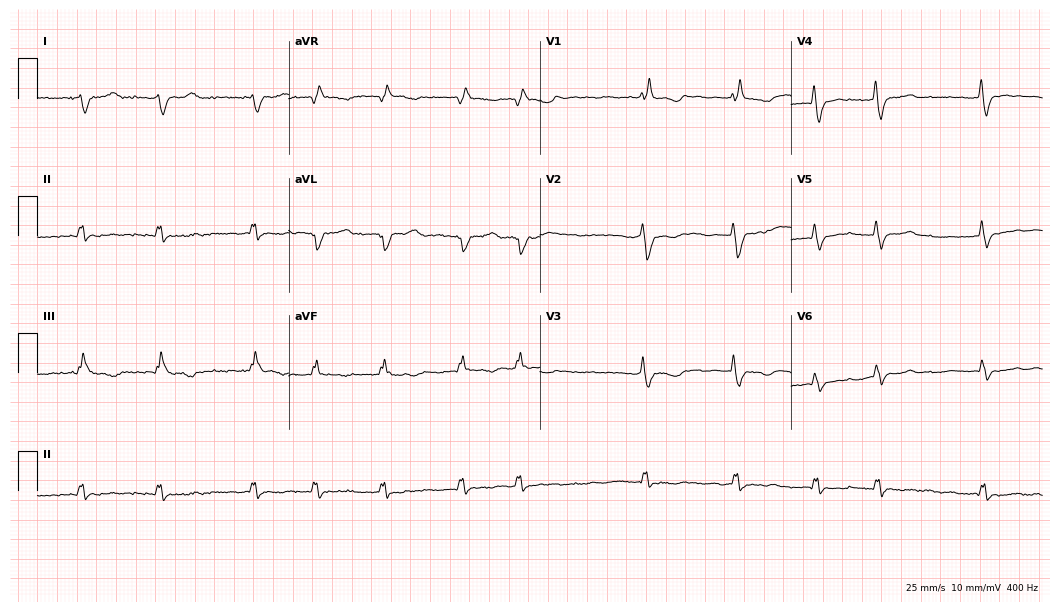
12-lead ECG from a 67-year-old woman. Screened for six findings — first-degree AV block, right bundle branch block, left bundle branch block, sinus bradycardia, atrial fibrillation, sinus tachycardia — none is recorded. Findings outside these six are not listed.